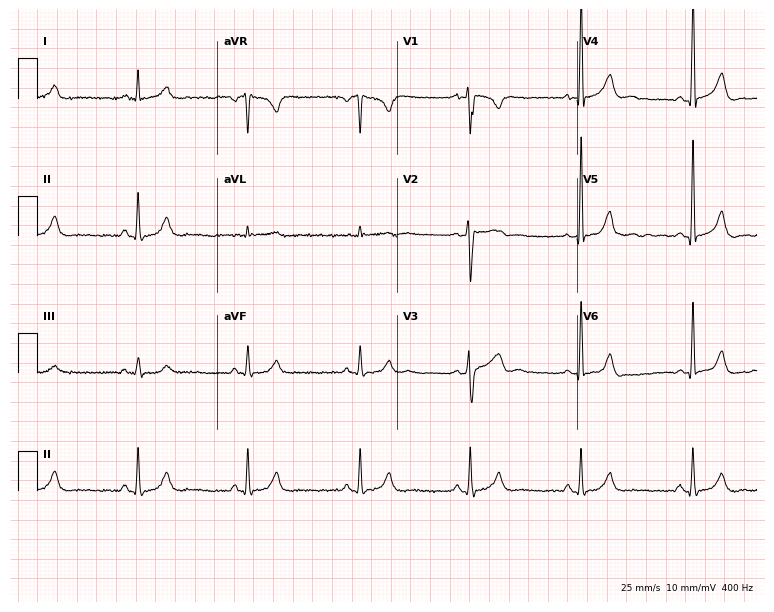
12-lead ECG from a 32-year-old man (7.3-second recording at 400 Hz). No first-degree AV block, right bundle branch block, left bundle branch block, sinus bradycardia, atrial fibrillation or sinus tachycardia recorded for this tracing. Other findings, if any, are not listed.